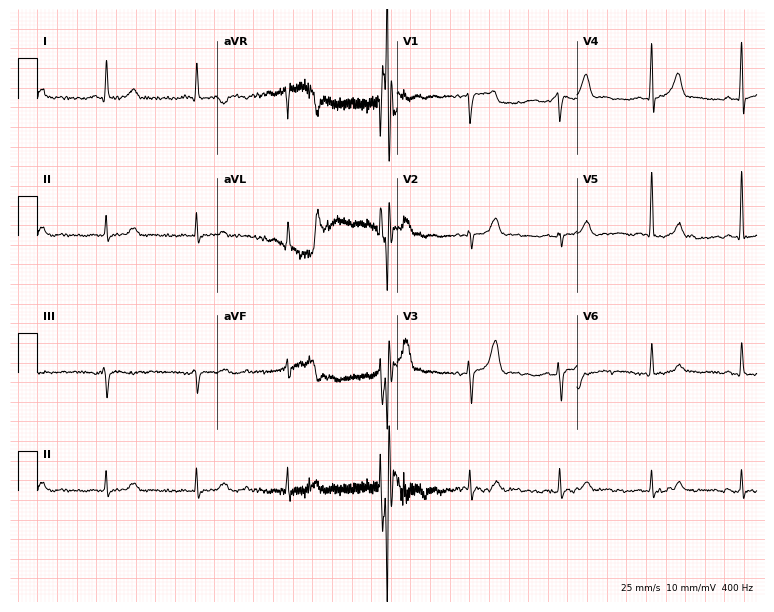
Resting 12-lead electrocardiogram (7.3-second recording at 400 Hz). Patient: a female, 76 years old. None of these six findings is recorded: first-degree AV block, right bundle branch block (RBBB), left bundle branch block (LBBB), sinus bradycardia, atrial fibrillation (AF), sinus tachycardia.